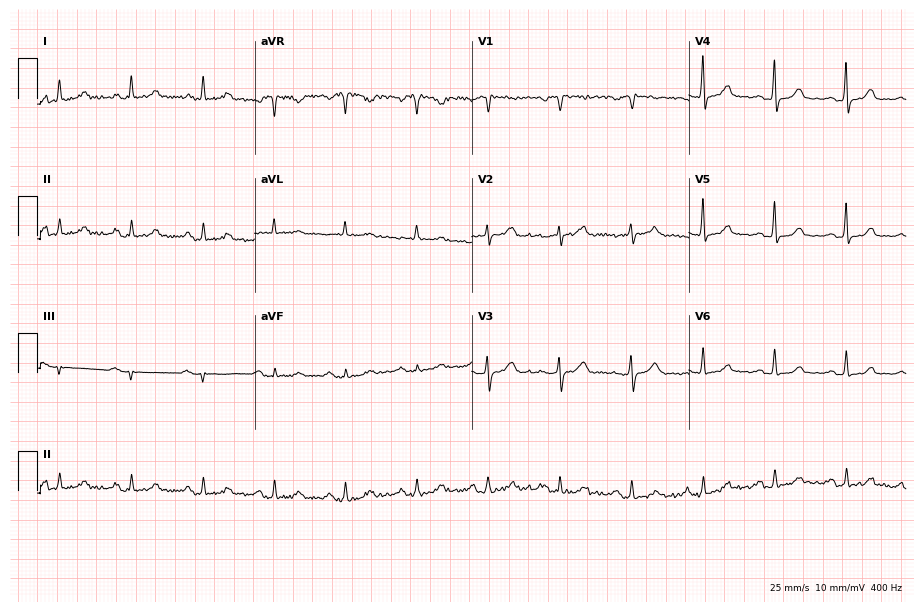
12-lead ECG from a female patient, 67 years old (8.9-second recording at 400 Hz). Recorded interpretation: within normal limits.